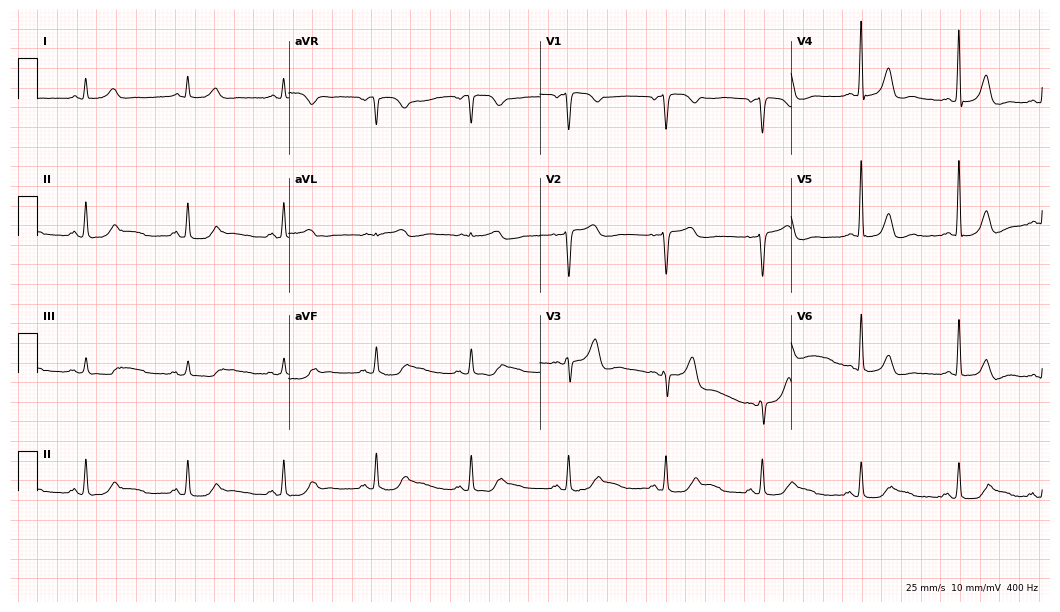
ECG (10.2-second recording at 400 Hz) — a 56-year-old man. Screened for six findings — first-degree AV block, right bundle branch block (RBBB), left bundle branch block (LBBB), sinus bradycardia, atrial fibrillation (AF), sinus tachycardia — none is recorded. Only these six findings were labelled.